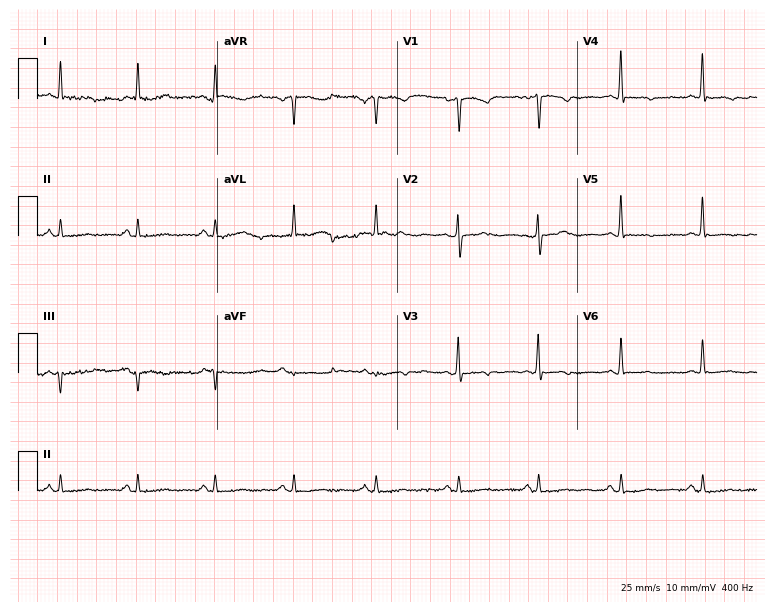
Resting 12-lead electrocardiogram. Patient: a woman, 45 years old. None of these six findings is recorded: first-degree AV block, right bundle branch block (RBBB), left bundle branch block (LBBB), sinus bradycardia, atrial fibrillation (AF), sinus tachycardia. Only these six findings were labelled.